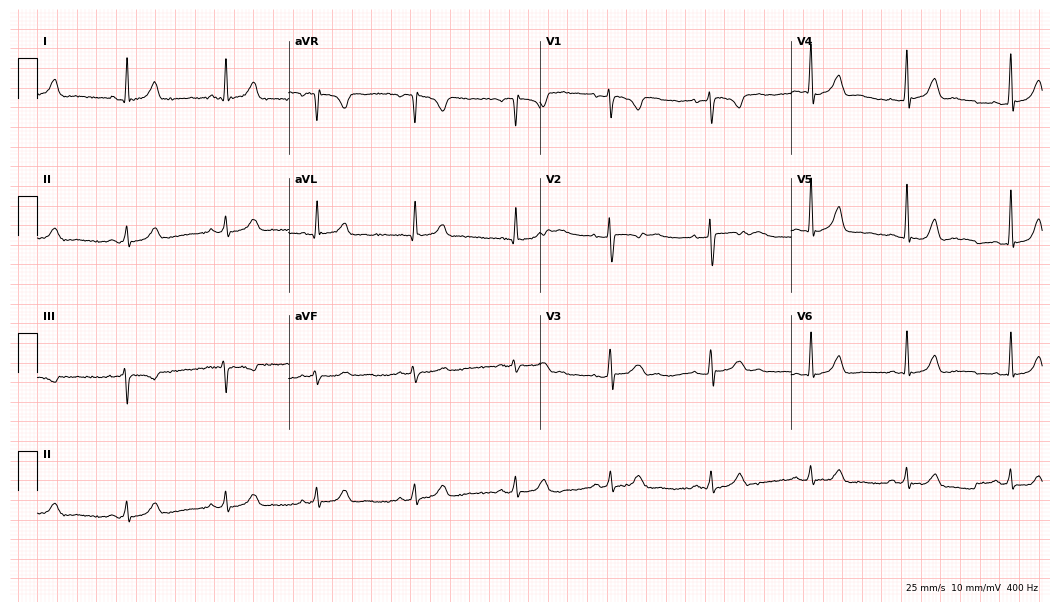
Standard 12-lead ECG recorded from a 31-year-old woman (10.2-second recording at 400 Hz). None of these six findings is recorded: first-degree AV block, right bundle branch block (RBBB), left bundle branch block (LBBB), sinus bradycardia, atrial fibrillation (AF), sinus tachycardia.